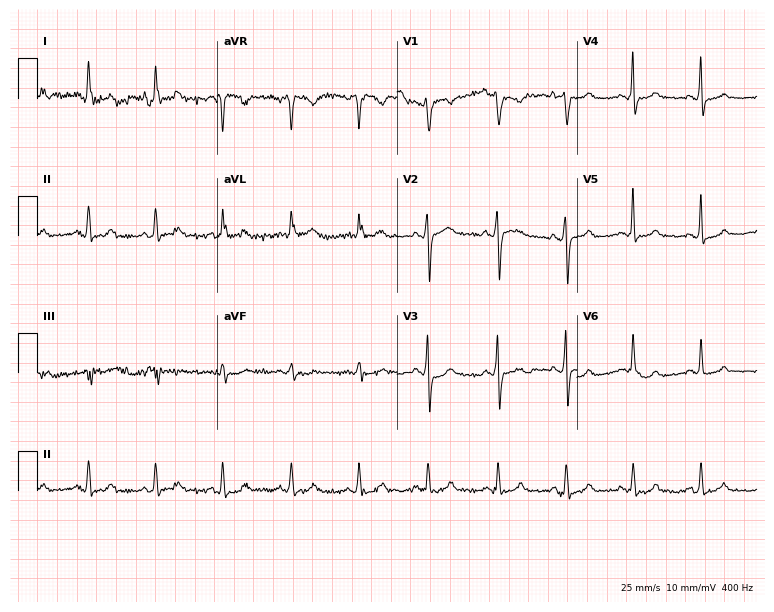
12-lead ECG from a female patient, 31 years old (7.3-second recording at 400 Hz). Recorded interpretation: within normal limits.